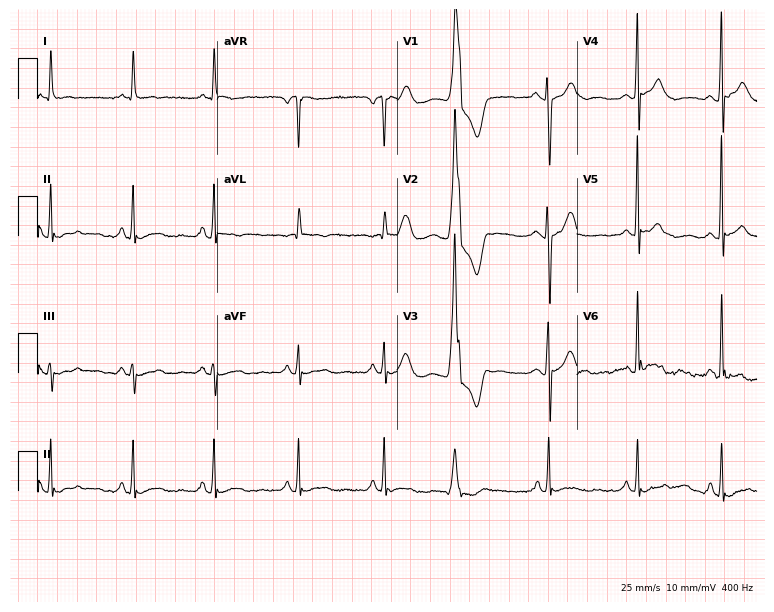
Resting 12-lead electrocardiogram (7.3-second recording at 400 Hz). Patient: a female, 79 years old. None of these six findings is recorded: first-degree AV block, right bundle branch block, left bundle branch block, sinus bradycardia, atrial fibrillation, sinus tachycardia.